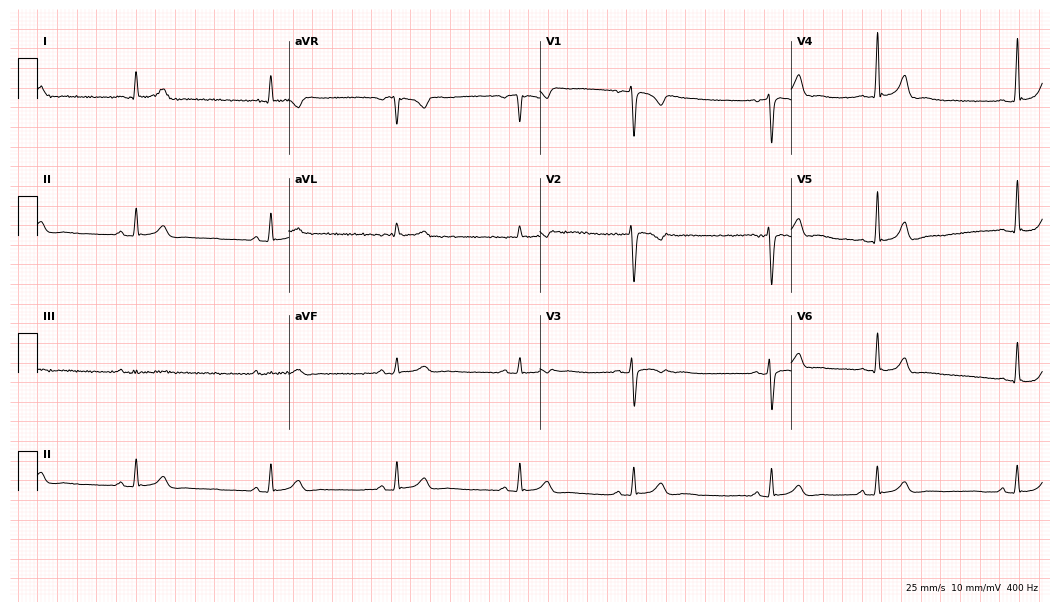
Electrocardiogram, a 23-year-old female. Of the six screened findings (first-degree AV block, right bundle branch block, left bundle branch block, sinus bradycardia, atrial fibrillation, sinus tachycardia), none is recorded.